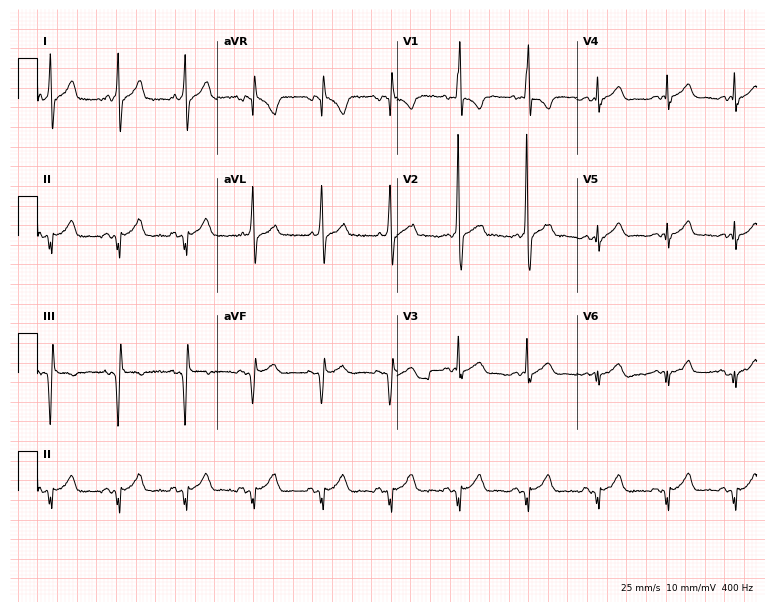
ECG (7.3-second recording at 400 Hz) — a male, 32 years old. Screened for six findings — first-degree AV block, right bundle branch block (RBBB), left bundle branch block (LBBB), sinus bradycardia, atrial fibrillation (AF), sinus tachycardia — none is recorded.